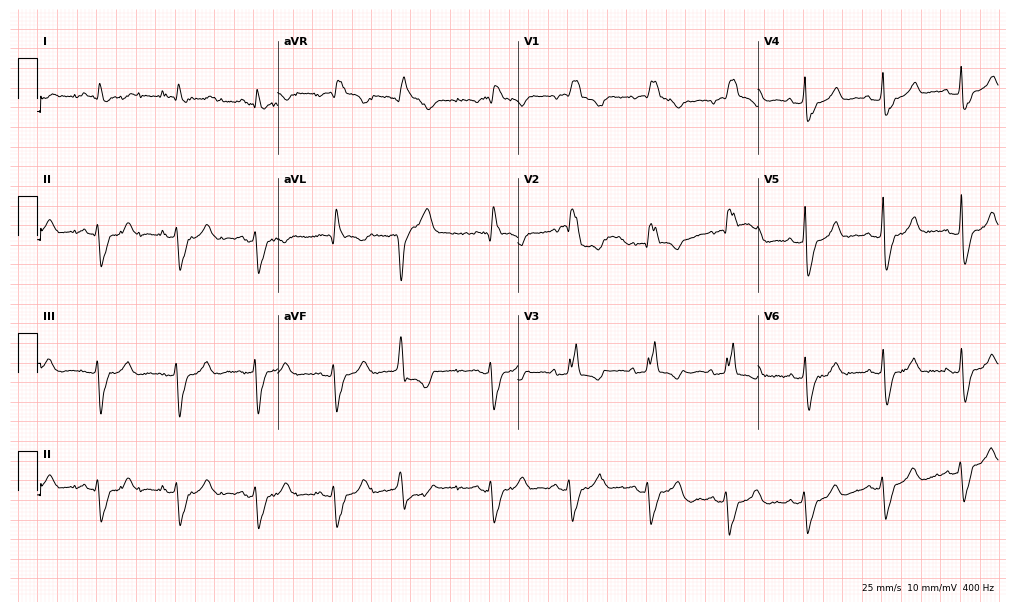
Resting 12-lead electrocardiogram (9.8-second recording at 400 Hz). Patient: a 62-year-old male. The tracing shows right bundle branch block.